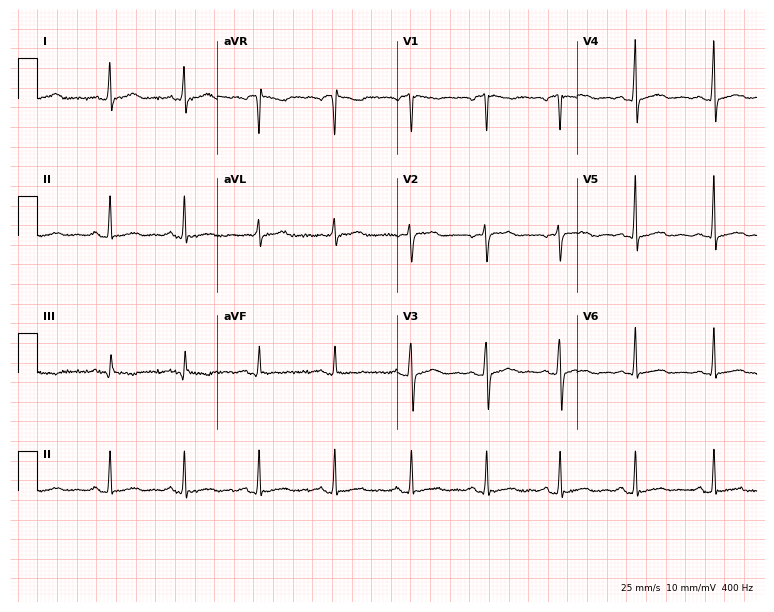
Standard 12-lead ECG recorded from a woman, 42 years old. None of these six findings is recorded: first-degree AV block, right bundle branch block, left bundle branch block, sinus bradycardia, atrial fibrillation, sinus tachycardia. Other findings, if any, are not listed.